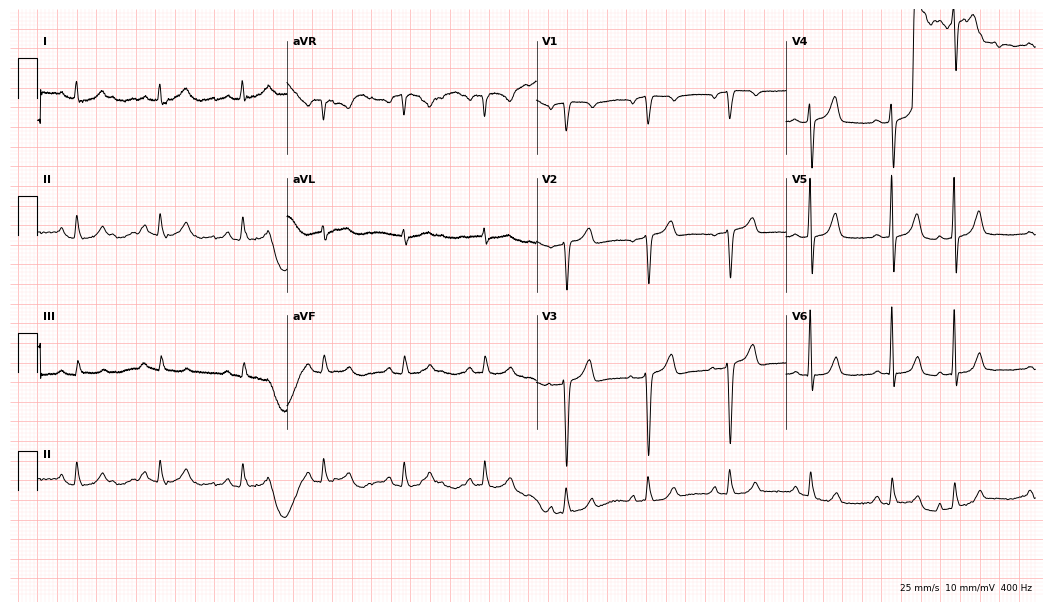
12-lead ECG from an 80-year-old male patient. Labelled as a normal ECG.